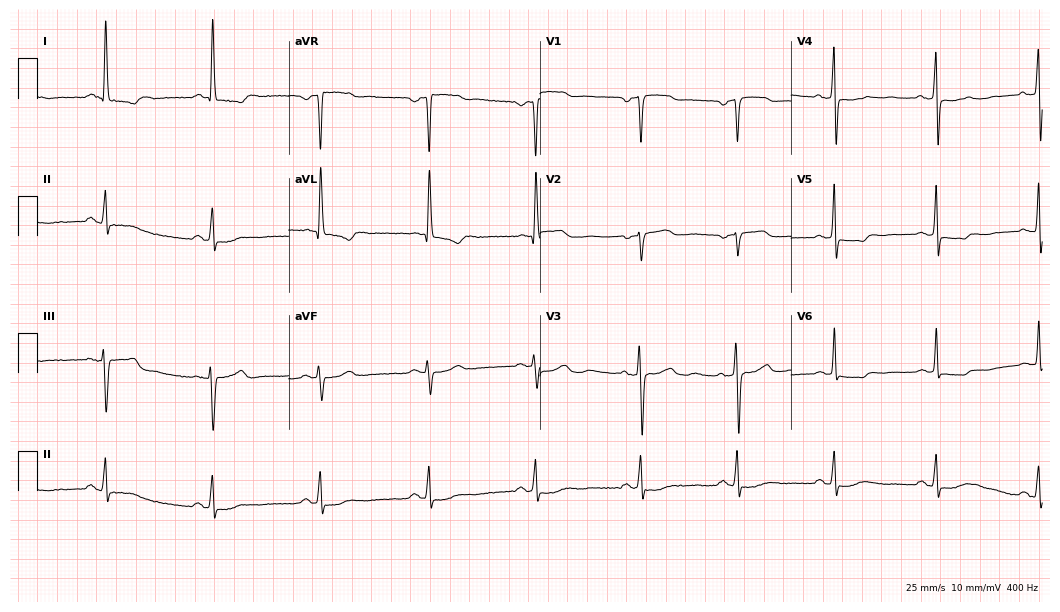
Standard 12-lead ECG recorded from a female, 57 years old (10.2-second recording at 400 Hz). None of these six findings is recorded: first-degree AV block, right bundle branch block, left bundle branch block, sinus bradycardia, atrial fibrillation, sinus tachycardia.